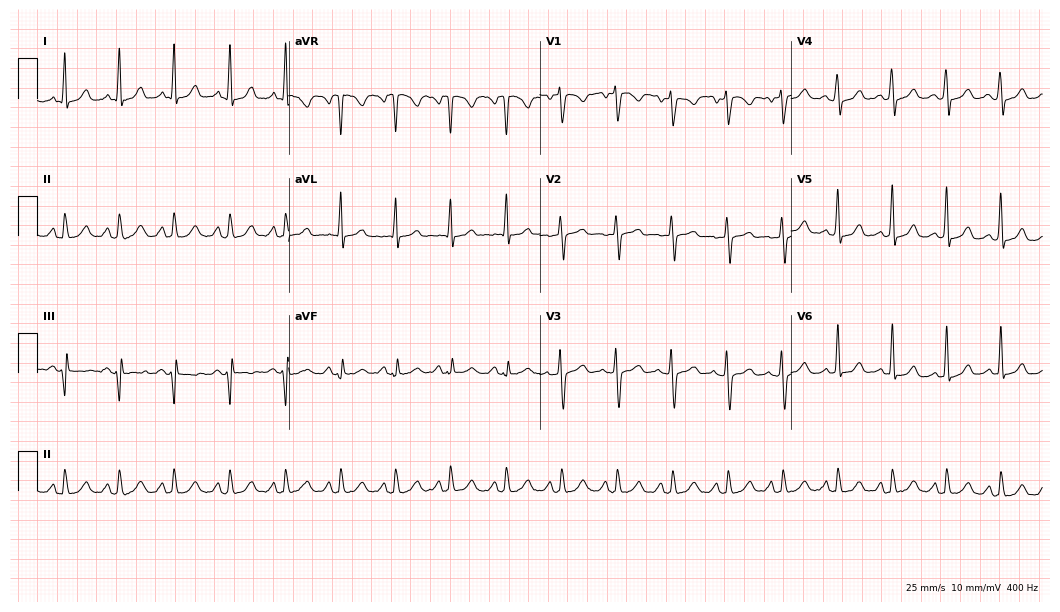
Resting 12-lead electrocardiogram (10.2-second recording at 400 Hz). Patient: a 45-year-old female. The tracing shows sinus tachycardia (a sinus rate of 100 beats per minute or more).